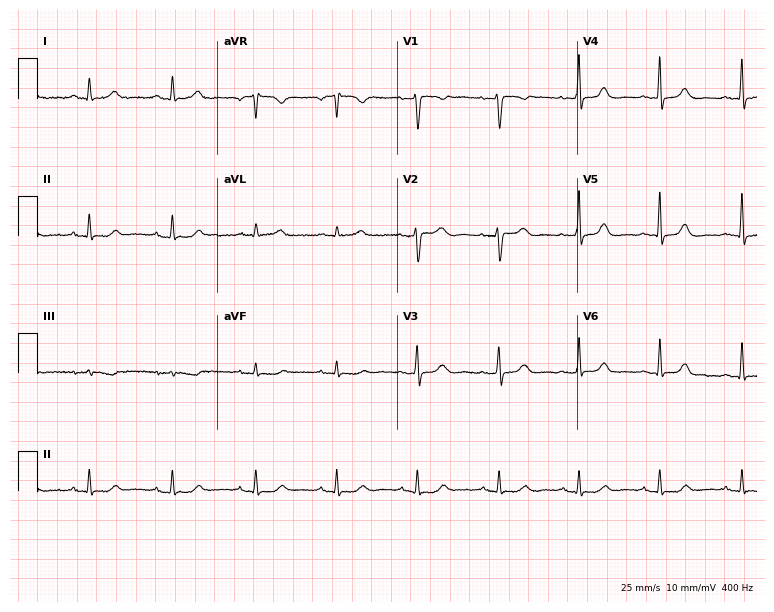
Electrocardiogram, a 46-year-old woman. Of the six screened findings (first-degree AV block, right bundle branch block, left bundle branch block, sinus bradycardia, atrial fibrillation, sinus tachycardia), none is recorded. Findings outside these six are not listed.